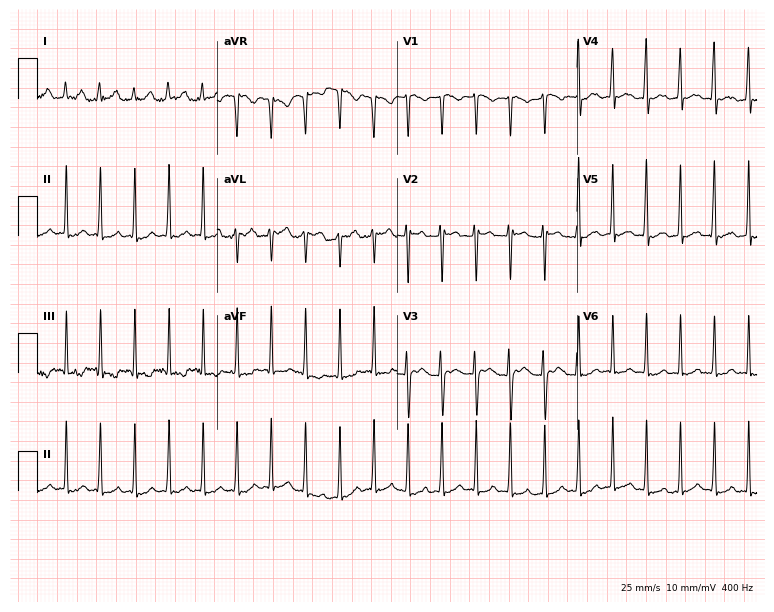
12-lead ECG from a 24-year-old female patient. No first-degree AV block, right bundle branch block, left bundle branch block, sinus bradycardia, atrial fibrillation or sinus tachycardia recorded for this tracing.